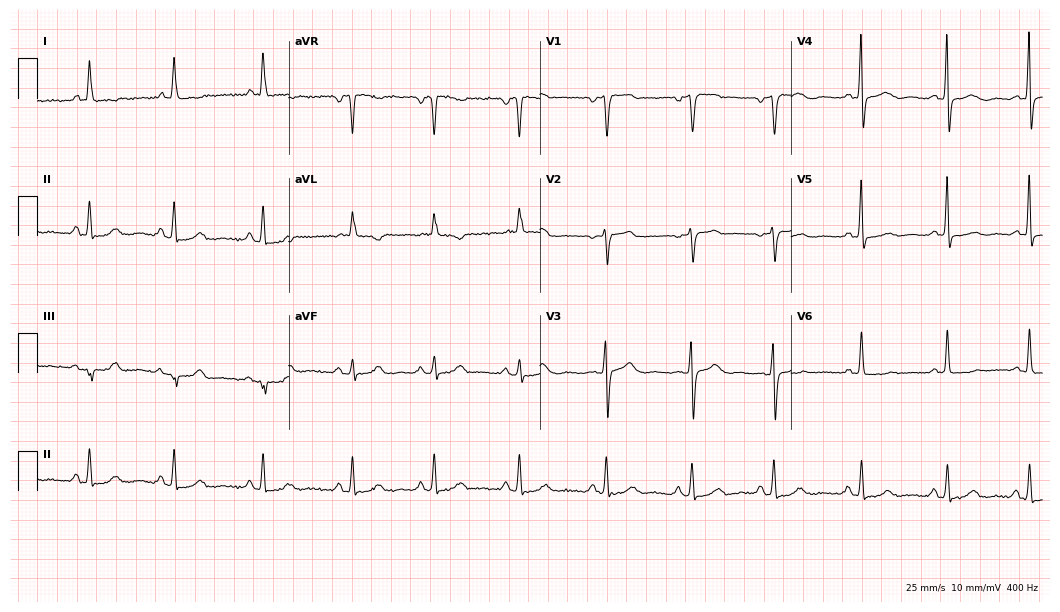
Resting 12-lead electrocardiogram. Patient: a woman, 61 years old. None of these six findings is recorded: first-degree AV block, right bundle branch block (RBBB), left bundle branch block (LBBB), sinus bradycardia, atrial fibrillation (AF), sinus tachycardia.